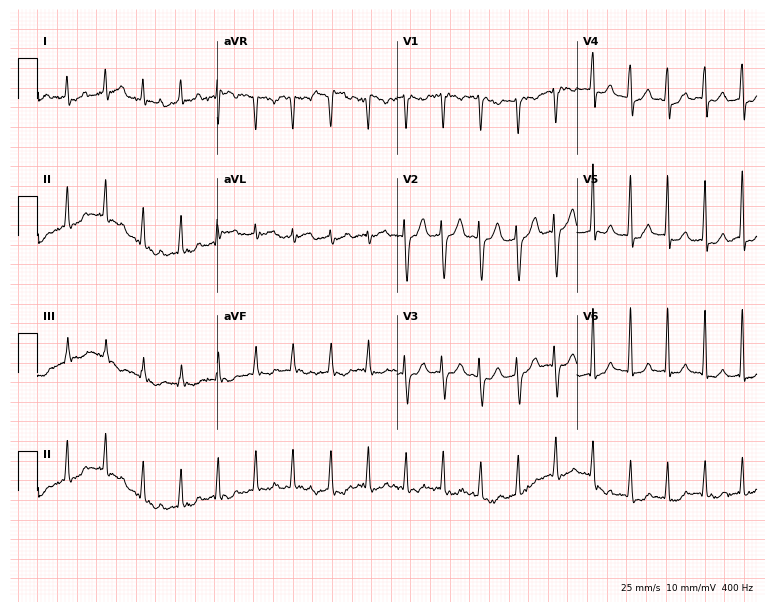
12-lead ECG (7.3-second recording at 400 Hz) from a female, 46 years old. Findings include sinus tachycardia (a sinus rate of 100 beats per minute or more).